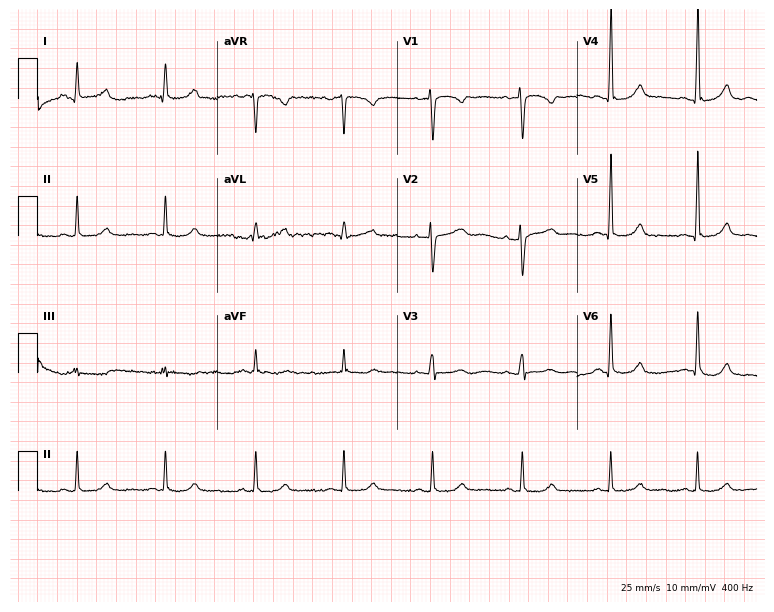
Resting 12-lead electrocardiogram. Patient: a female, 51 years old. Read as a normal ECG.